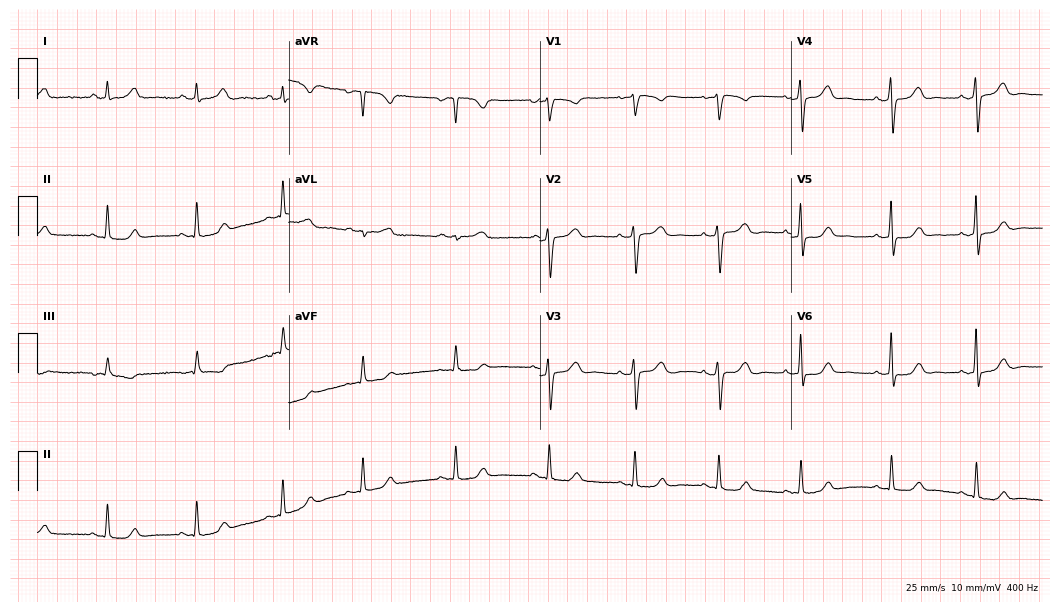
ECG (10.2-second recording at 400 Hz) — a woman, 63 years old. Labelled as a normal ECG.